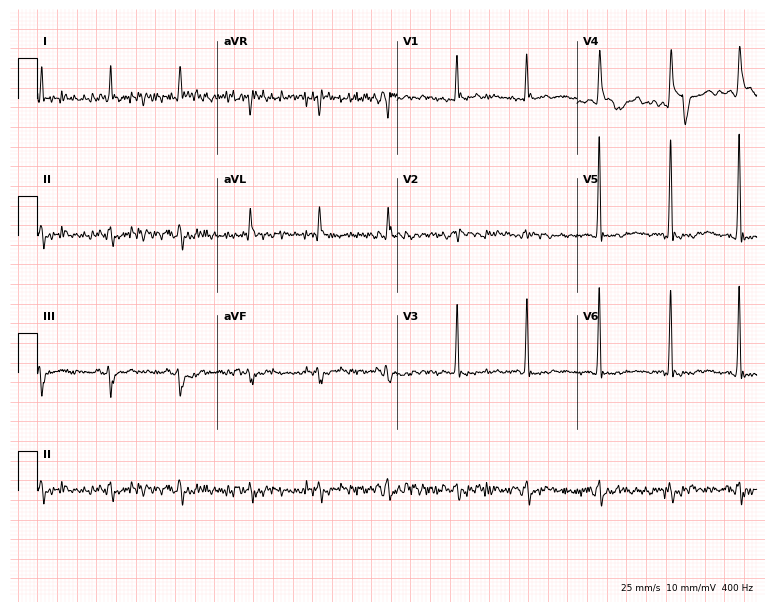
ECG — a female, 63 years old. Screened for six findings — first-degree AV block, right bundle branch block, left bundle branch block, sinus bradycardia, atrial fibrillation, sinus tachycardia — none is recorded. Findings outside these six are not listed.